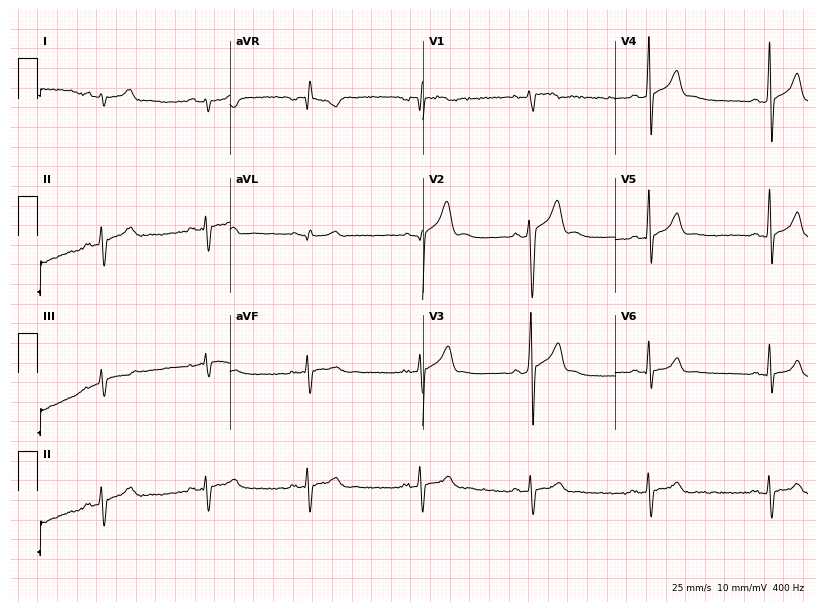
ECG — a male patient, 23 years old. Labelled as a normal ECG.